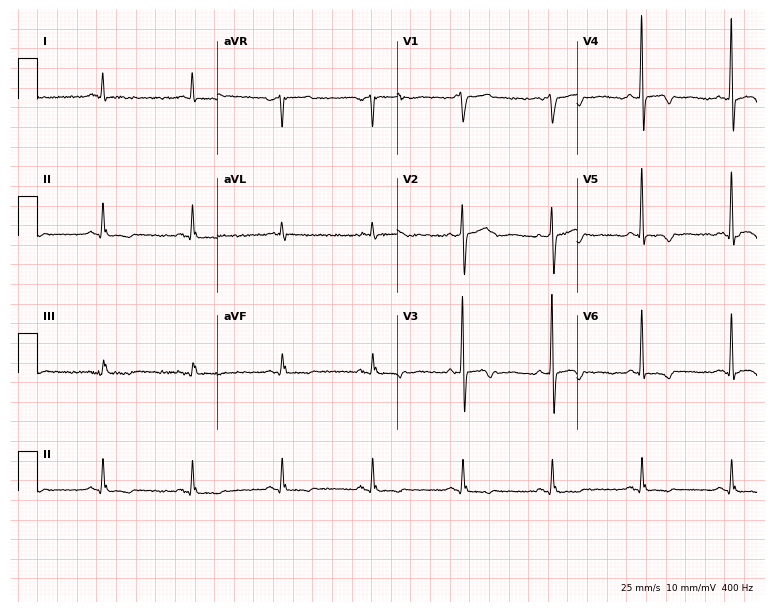
Standard 12-lead ECG recorded from a 71-year-old male patient (7.3-second recording at 400 Hz). None of these six findings is recorded: first-degree AV block, right bundle branch block (RBBB), left bundle branch block (LBBB), sinus bradycardia, atrial fibrillation (AF), sinus tachycardia. Only these six findings were labelled.